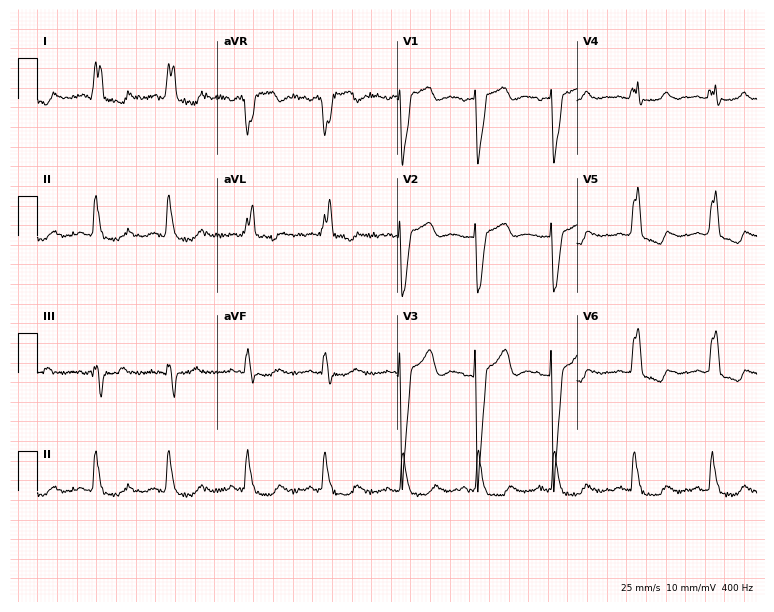
ECG — a 70-year-old woman. Findings include left bundle branch block.